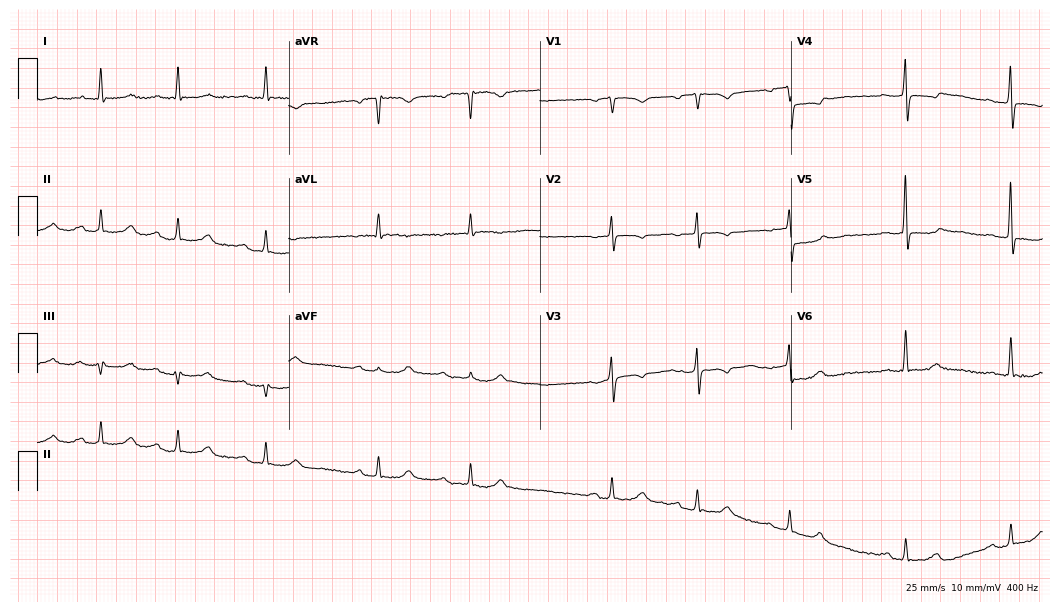
Resting 12-lead electrocardiogram (10.2-second recording at 400 Hz). Patient: a female, 56 years old. The tracing shows first-degree AV block.